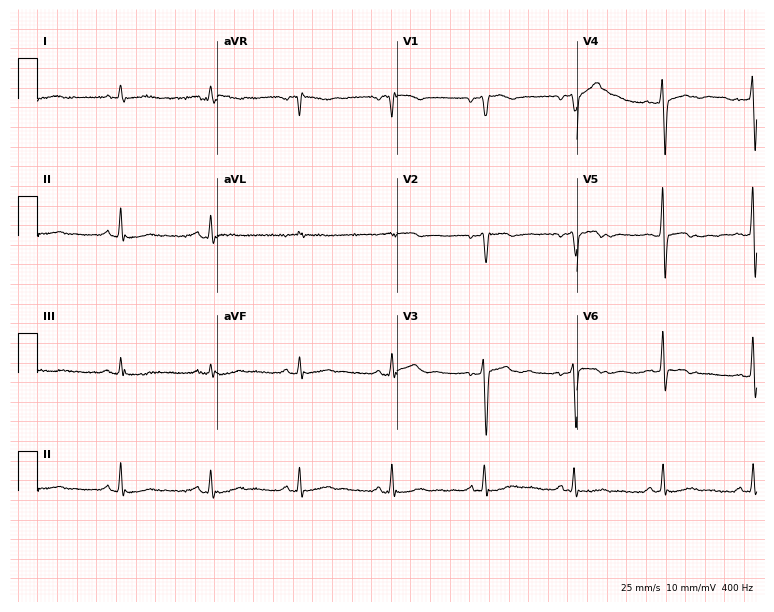
12-lead ECG (7.3-second recording at 400 Hz) from a male patient, 84 years old. Screened for six findings — first-degree AV block, right bundle branch block, left bundle branch block, sinus bradycardia, atrial fibrillation, sinus tachycardia — none is recorded.